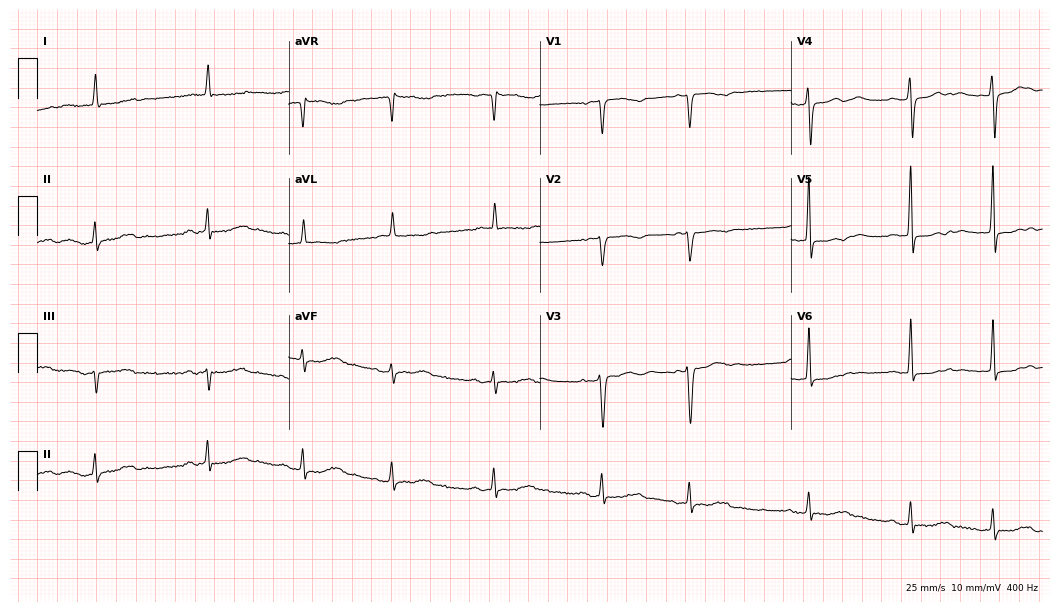
Resting 12-lead electrocardiogram (10.2-second recording at 400 Hz). Patient: a 78-year-old woman. None of these six findings is recorded: first-degree AV block, right bundle branch block, left bundle branch block, sinus bradycardia, atrial fibrillation, sinus tachycardia.